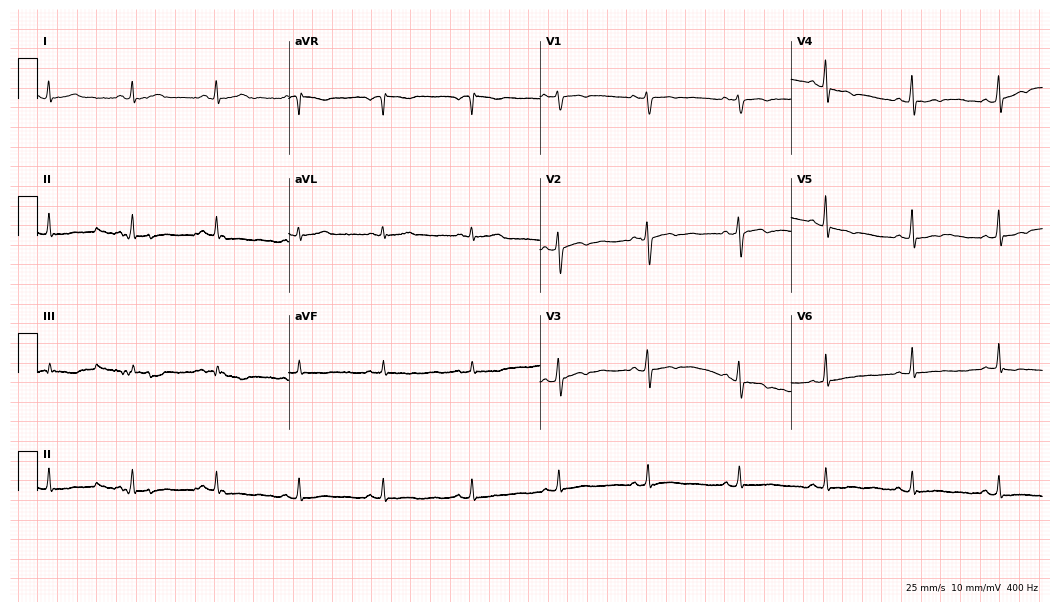
Electrocardiogram, a woman, 36 years old. Overall reading on record: normal ECG.